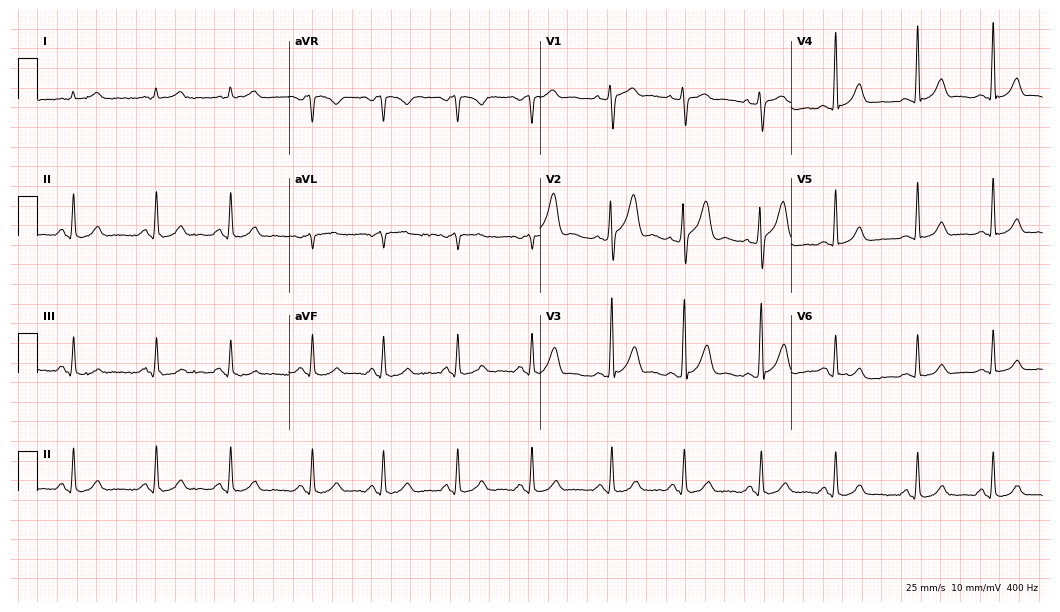
ECG — a 51-year-old male. Labelled as a normal ECG.